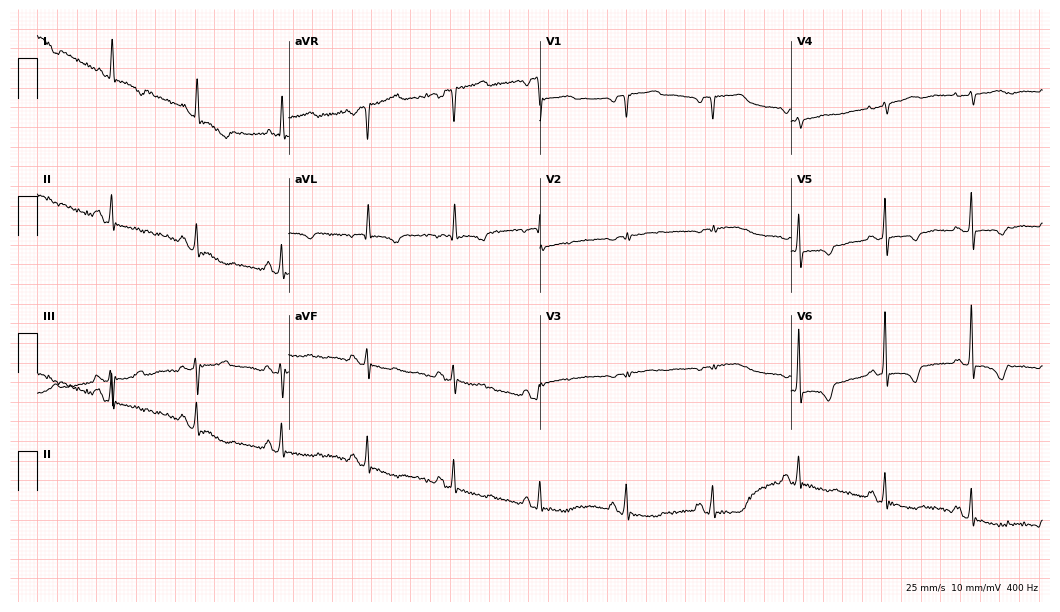
Resting 12-lead electrocardiogram. Patient: a 74-year-old female. None of these six findings is recorded: first-degree AV block, right bundle branch block, left bundle branch block, sinus bradycardia, atrial fibrillation, sinus tachycardia.